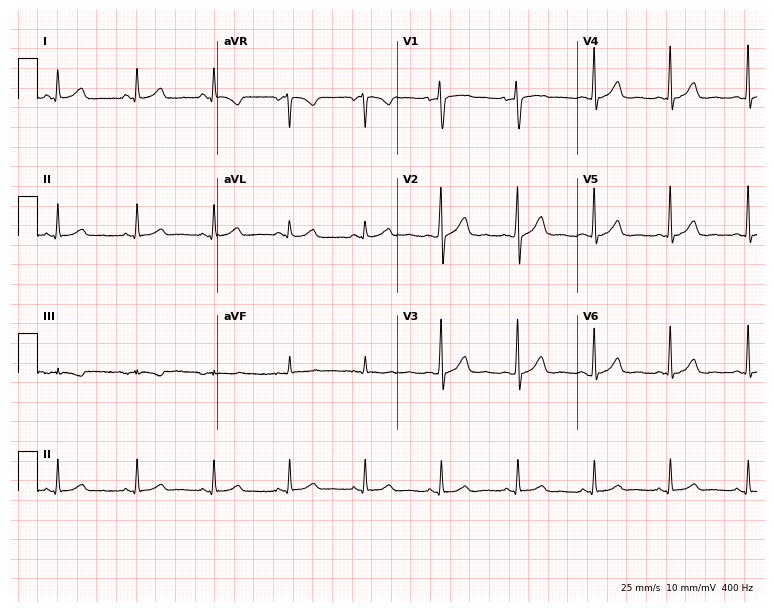
Standard 12-lead ECG recorded from a woman, 43 years old (7.3-second recording at 400 Hz). None of these six findings is recorded: first-degree AV block, right bundle branch block, left bundle branch block, sinus bradycardia, atrial fibrillation, sinus tachycardia. Only these six findings were labelled.